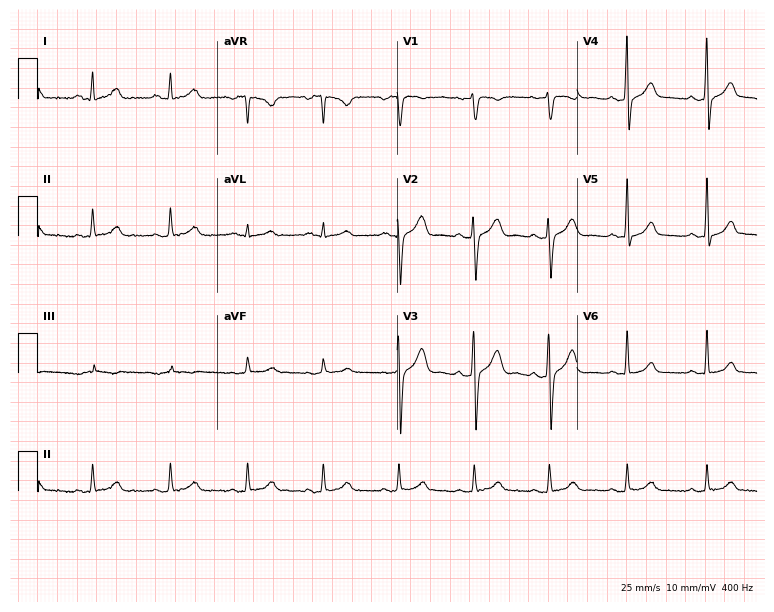
12-lead ECG (7.3-second recording at 400 Hz) from a male patient, 34 years old. Labelled as a normal ECG.